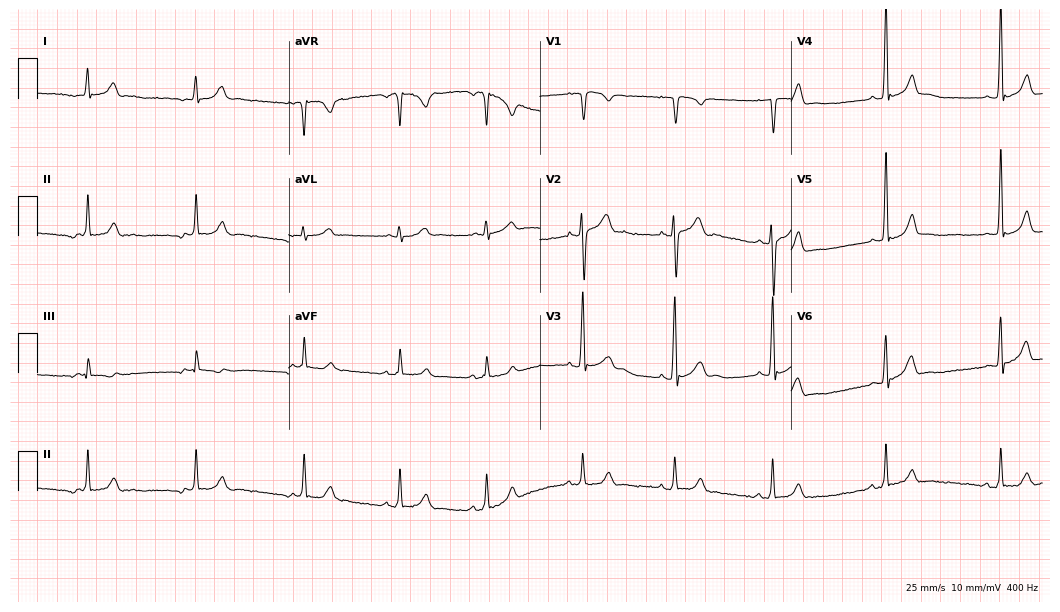
Electrocardiogram (10.2-second recording at 400 Hz), a male, 24 years old. Of the six screened findings (first-degree AV block, right bundle branch block, left bundle branch block, sinus bradycardia, atrial fibrillation, sinus tachycardia), none is recorded. Findings outside these six are not listed.